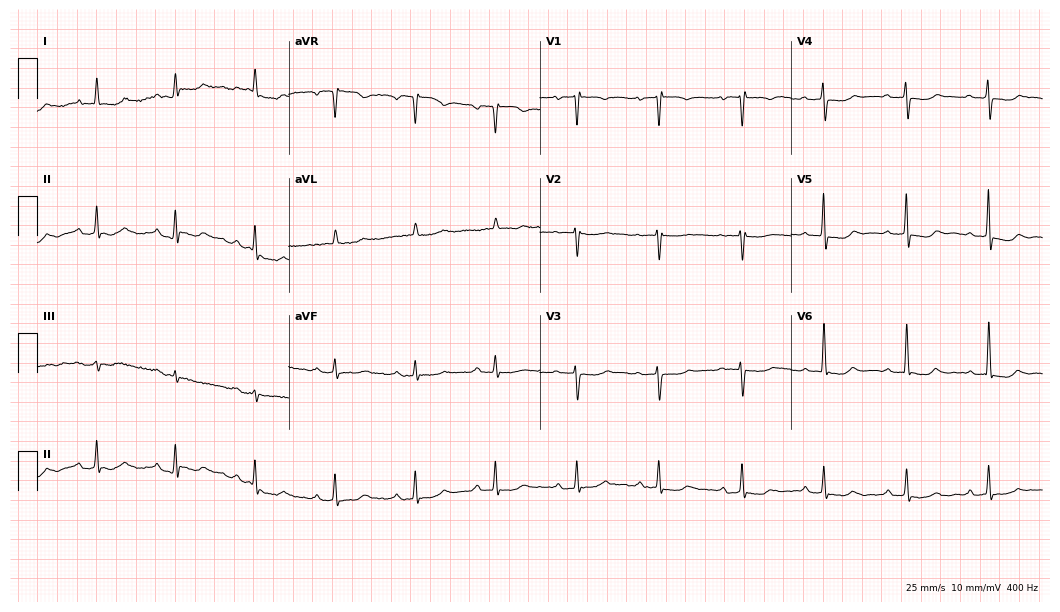
Standard 12-lead ECG recorded from a female, 78 years old. None of these six findings is recorded: first-degree AV block, right bundle branch block (RBBB), left bundle branch block (LBBB), sinus bradycardia, atrial fibrillation (AF), sinus tachycardia. Findings outside these six are not listed.